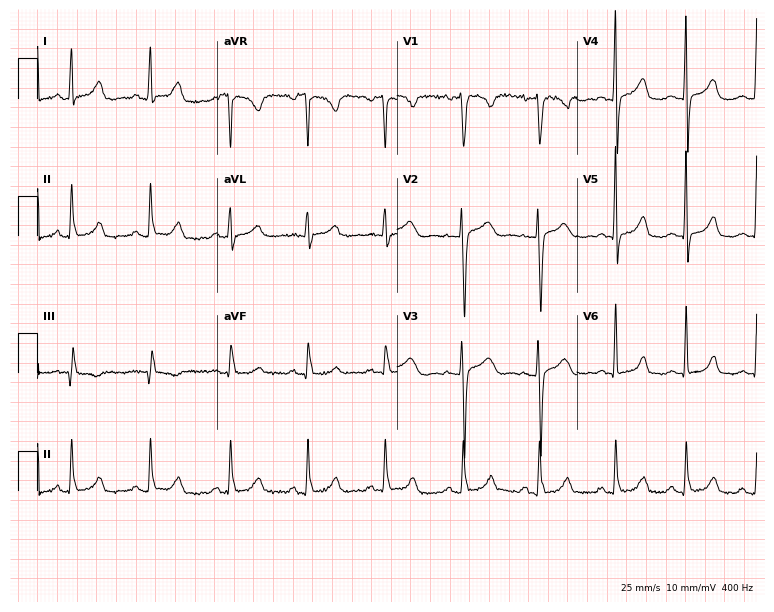
12-lead ECG from a 38-year-old female. No first-degree AV block, right bundle branch block, left bundle branch block, sinus bradycardia, atrial fibrillation or sinus tachycardia recorded for this tracing. Findings outside these six are not listed.